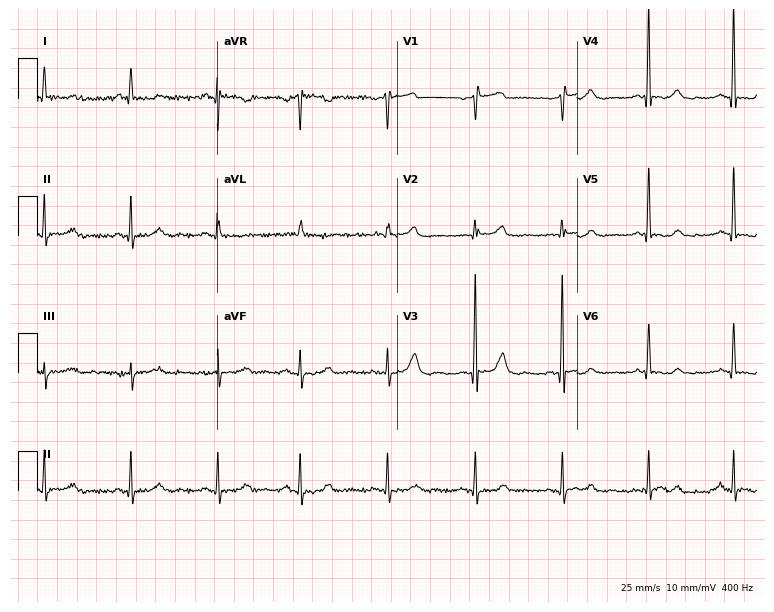
12-lead ECG (7.3-second recording at 400 Hz) from a man, 85 years old. Screened for six findings — first-degree AV block, right bundle branch block (RBBB), left bundle branch block (LBBB), sinus bradycardia, atrial fibrillation (AF), sinus tachycardia — none is recorded.